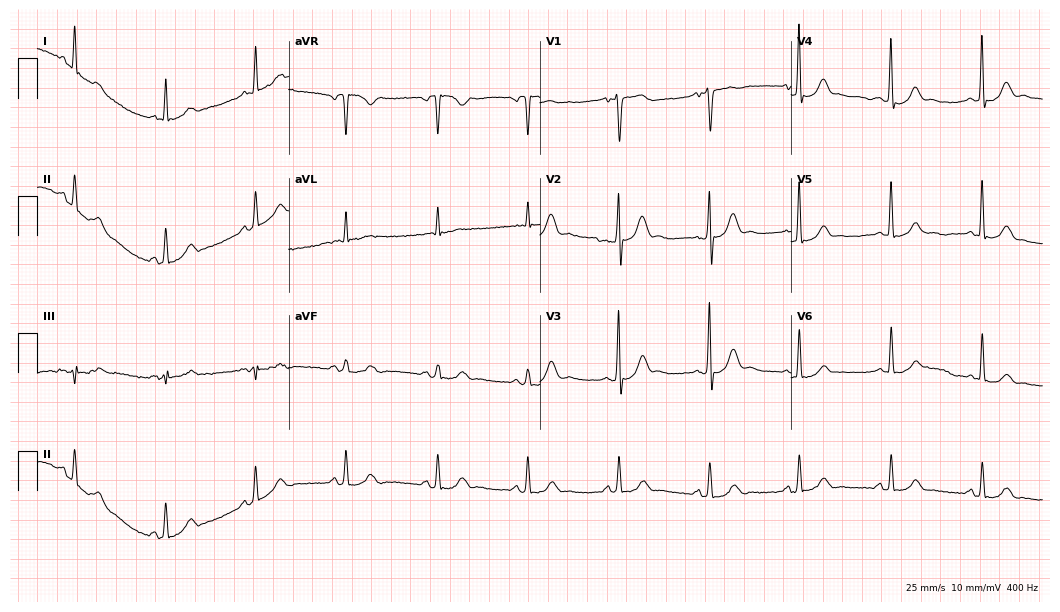
Standard 12-lead ECG recorded from a male, 45 years old. Read as a normal ECG.